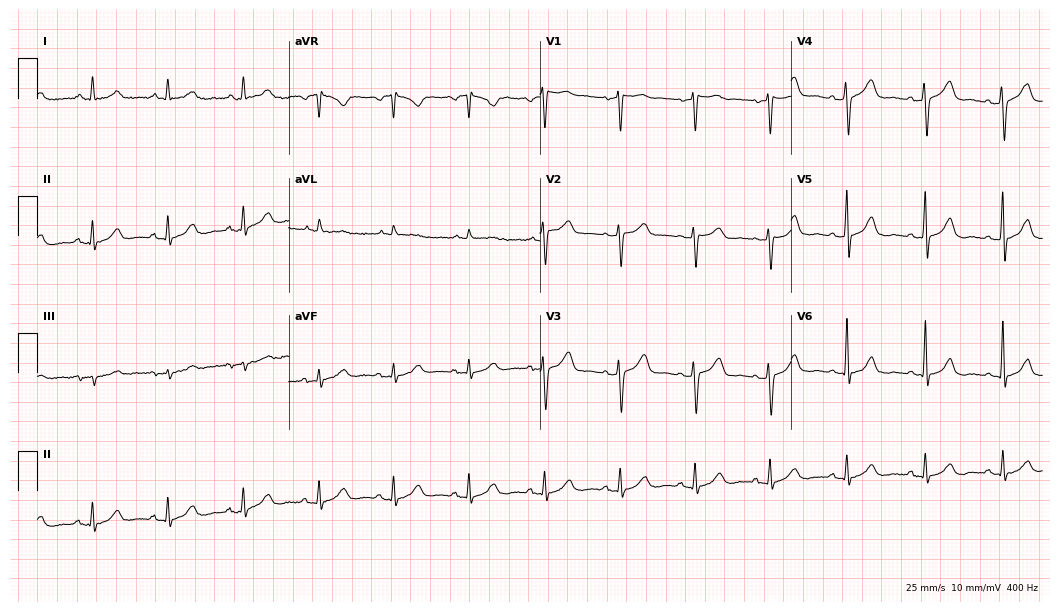
12-lead ECG from a male, 20 years old (10.2-second recording at 400 Hz). Recorded interpretation: within normal limits.